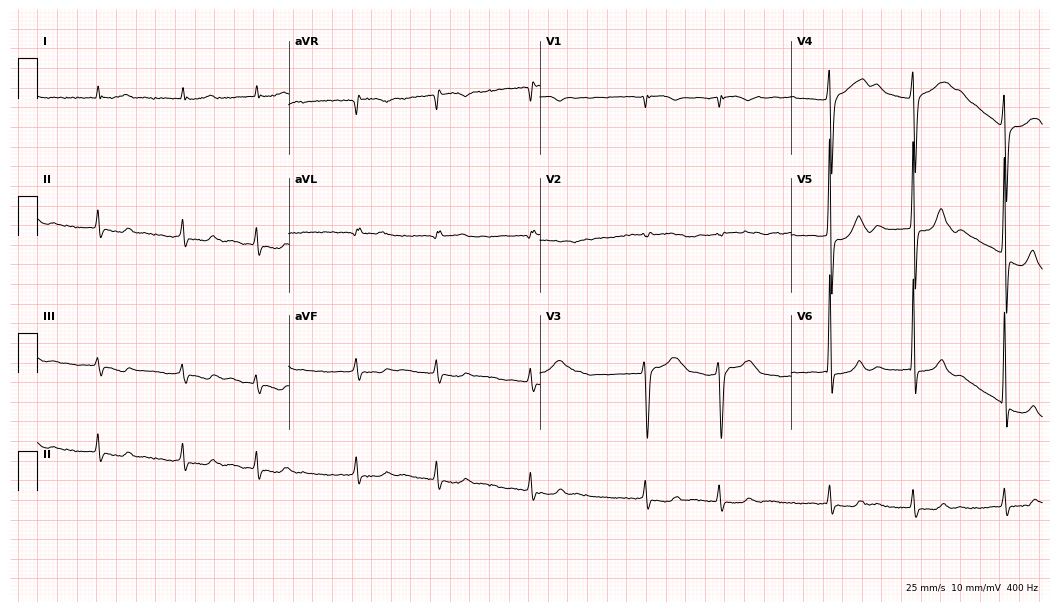
Standard 12-lead ECG recorded from a male, 78 years old (10.2-second recording at 400 Hz). None of these six findings is recorded: first-degree AV block, right bundle branch block (RBBB), left bundle branch block (LBBB), sinus bradycardia, atrial fibrillation (AF), sinus tachycardia. Only these six findings were labelled.